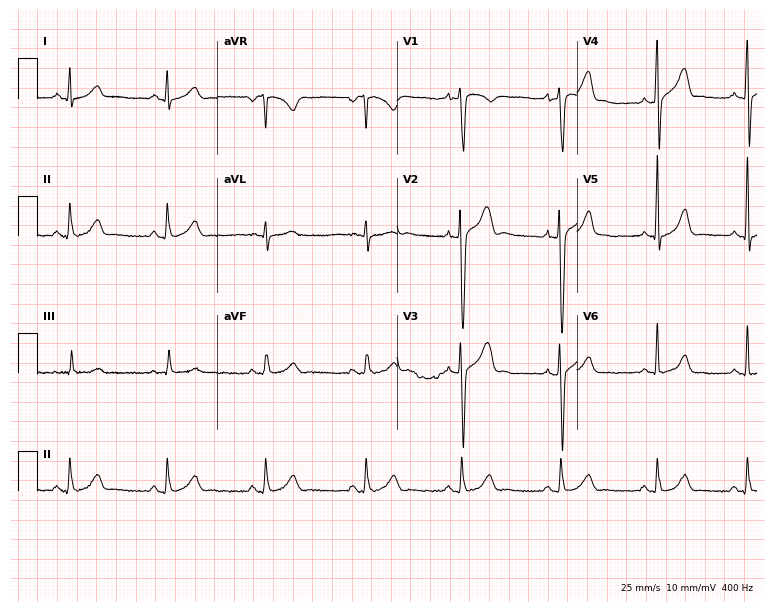
Electrocardiogram, a 20-year-old man. Overall reading on record: normal ECG.